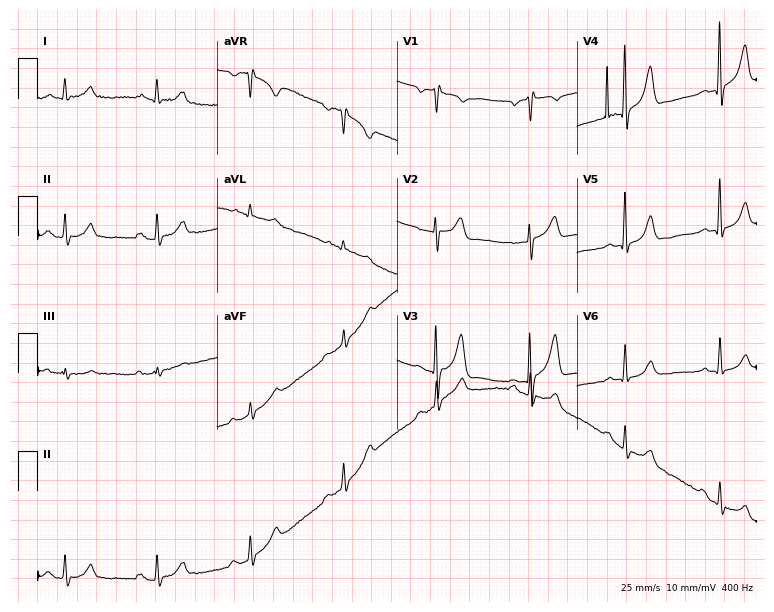
Standard 12-lead ECG recorded from a male patient, 79 years old (7.3-second recording at 400 Hz). None of these six findings is recorded: first-degree AV block, right bundle branch block, left bundle branch block, sinus bradycardia, atrial fibrillation, sinus tachycardia. Other findings, if any, are not listed.